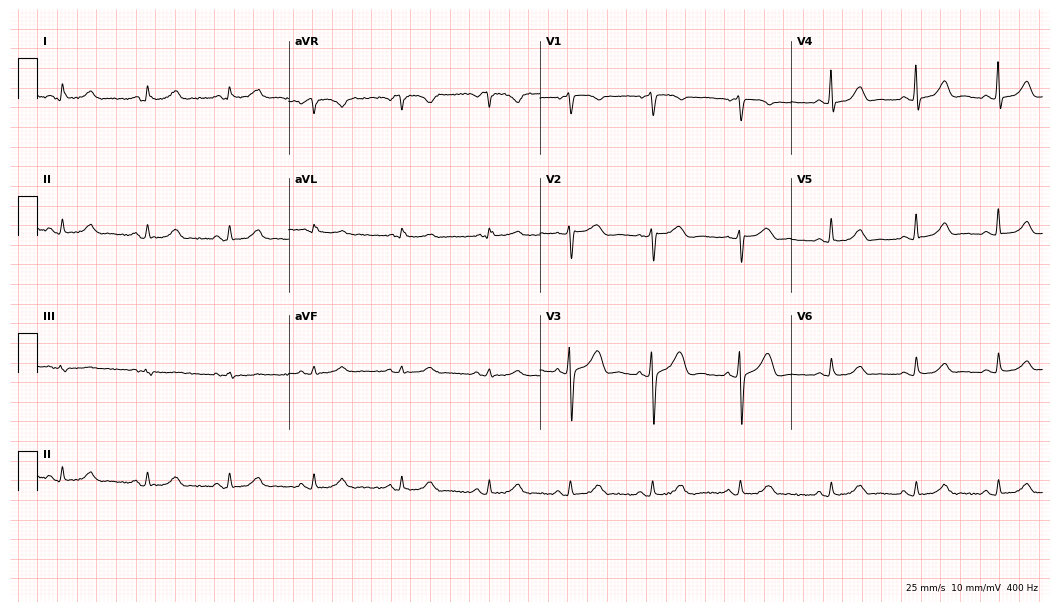
Electrocardiogram (10.2-second recording at 400 Hz), a 62-year-old woman. Of the six screened findings (first-degree AV block, right bundle branch block, left bundle branch block, sinus bradycardia, atrial fibrillation, sinus tachycardia), none is recorded.